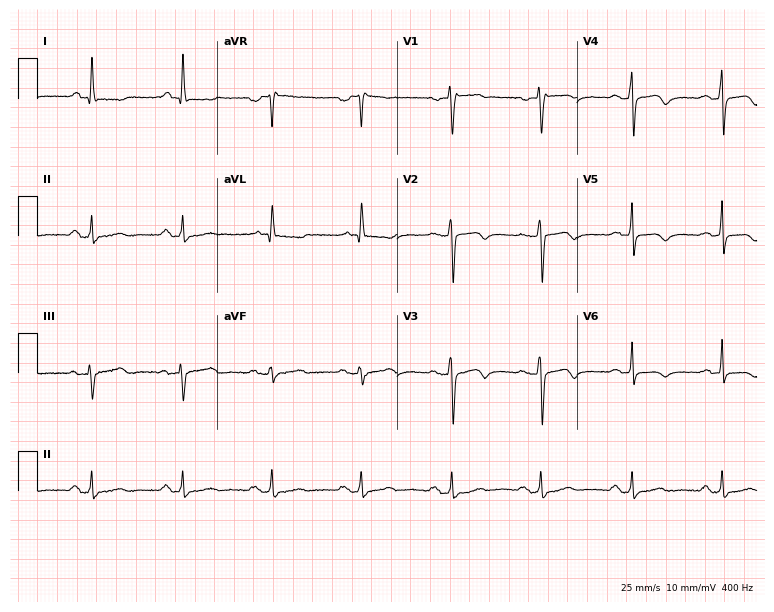
12-lead ECG (7.3-second recording at 400 Hz) from a woman, 55 years old. Screened for six findings — first-degree AV block, right bundle branch block, left bundle branch block, sinus bradycardia, atrial fibrillation, sinus tachycardia — none is recorded.